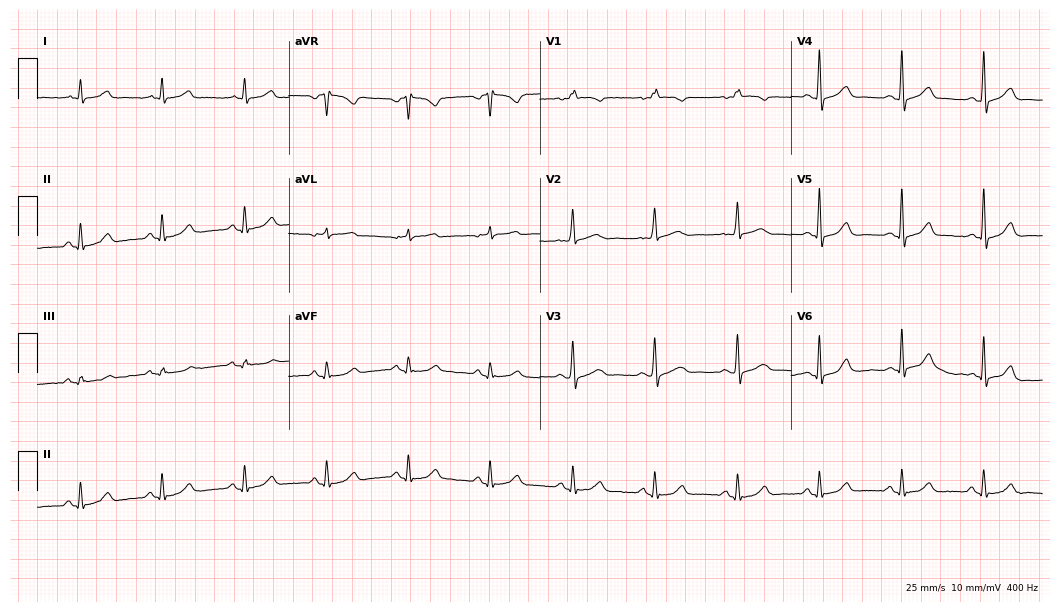
Standard 12-lead ECG recorded from a female patient, 74 years old. Read as a normal ECG.